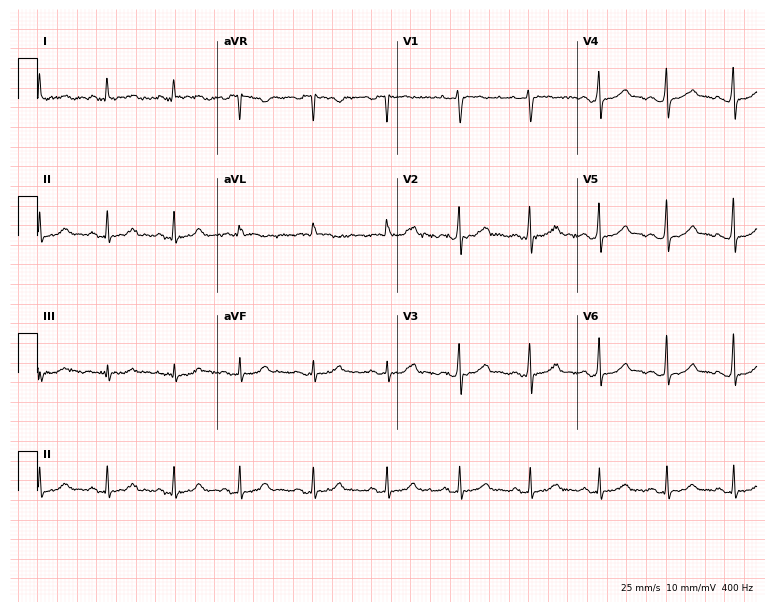
ECG (7.3-second recording at 400 Hz) — a 50-year-old female. Labelled as a normal ECG.